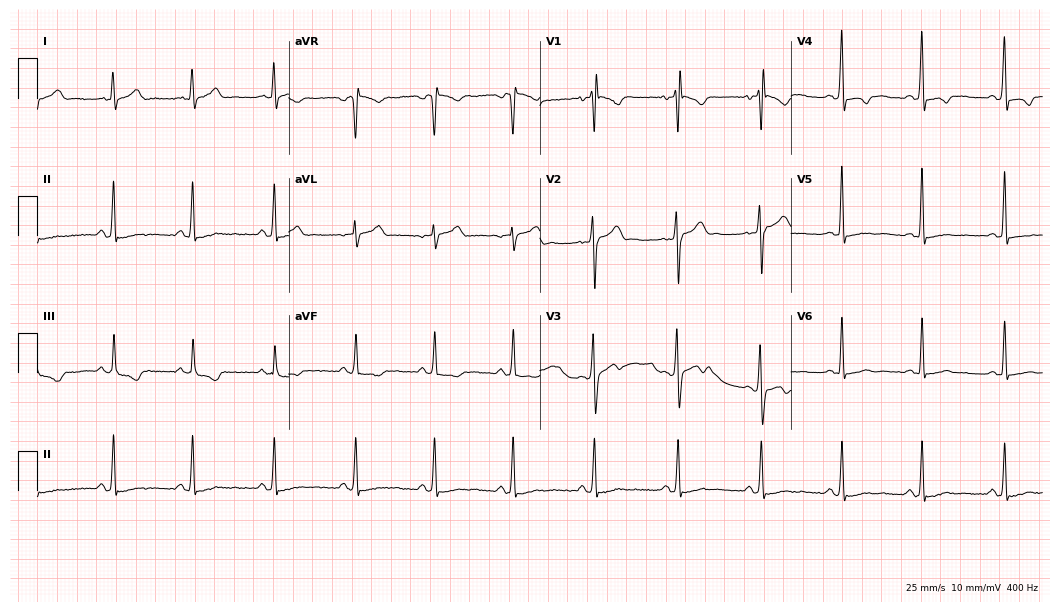
Electrocardiogram (10.2-second recording at 400 Hz), a 28-year-old male. Of the six screened findings (first-degree AV block, right bundle branch block (RBBB), left bundle branch block (LBBB), sinus bradycardia, atrial fibrillation (AF), sinus tachycardia), none is recorded. Only these six findings were labelled.